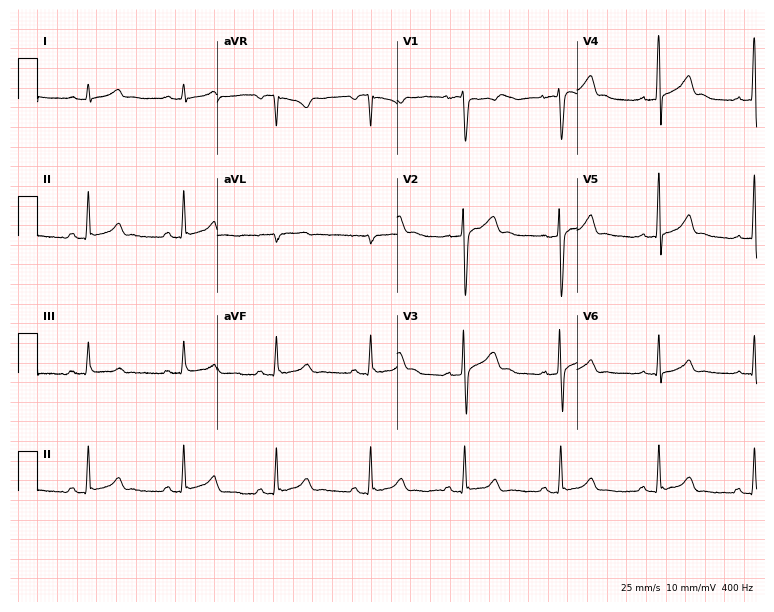
Electrocardiogram, a male, 42 years old. Of the six screened findings (first-degree AV block, right bundle branch block, left bundle branch block, sinus bradycardia, atrial fibrillation, sinus tachycardia), none is recorded.